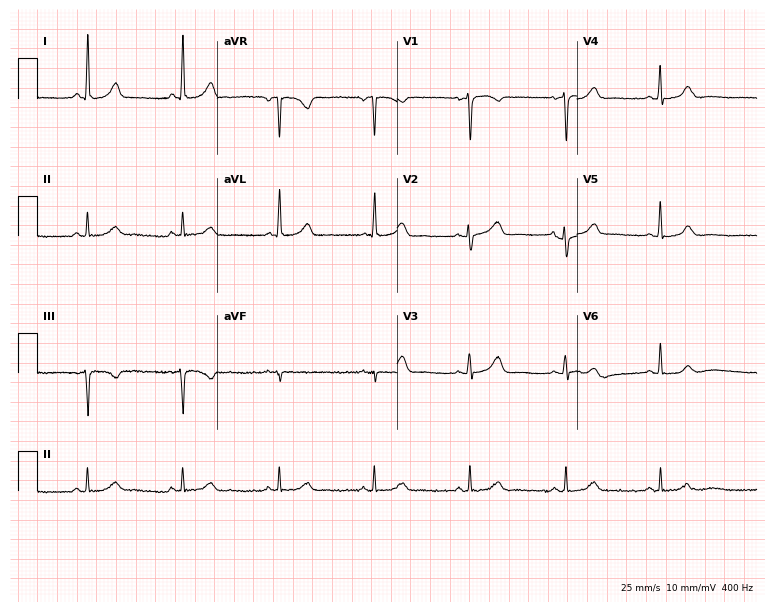
12-lead ECG from a female, 43 years old. No first-degree AV block, right bundle branch block, left bundle branch block, sinus bradycardia, atrial fibrillation or sinus tachycardia recorded for this tracing. Other findings, if any, are not listed.